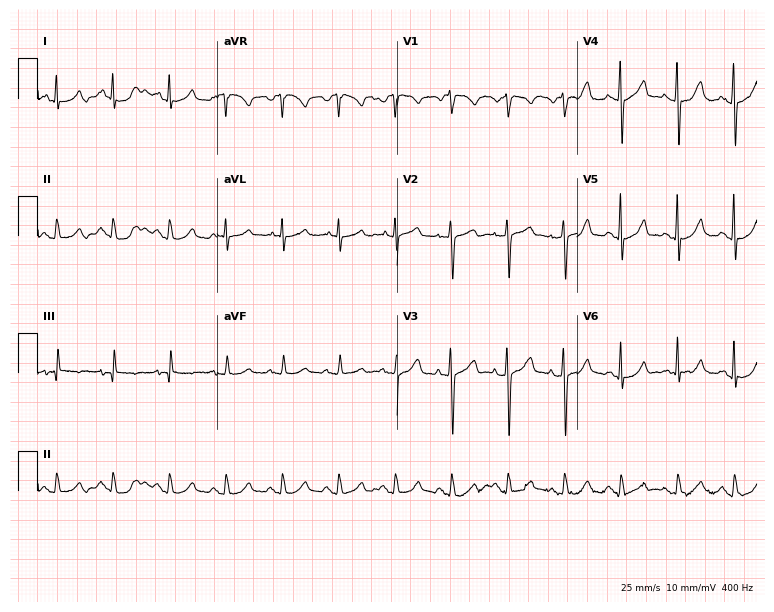
Resting 12-lead electrocardiogram (7.3-second recording at 400 Hz). Patient: a male, 64 years old. Read as a normal ECG.